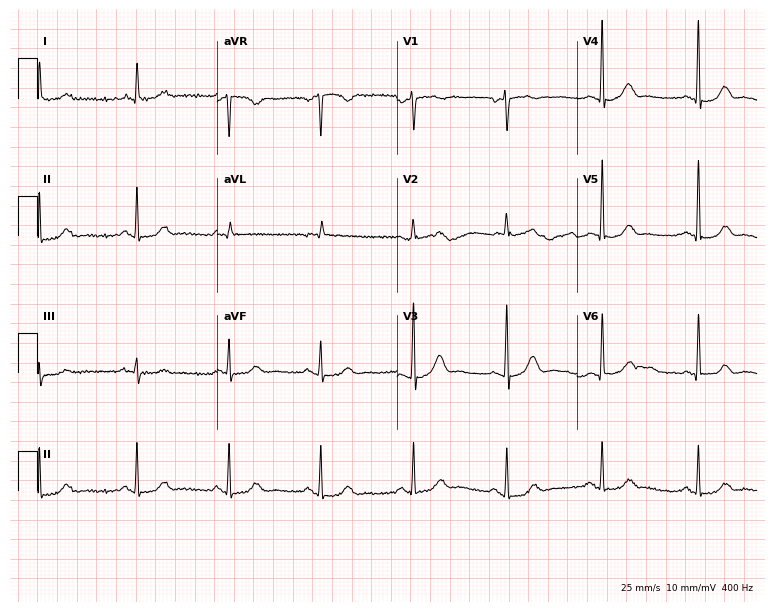
12-lead ECG from a female, 63 years old. No first-degree AV block, right bundle branch block, left bundle branch block, sinus bradycardia, atrial fibrillation or sinus tachycardia recorded for this tracing.